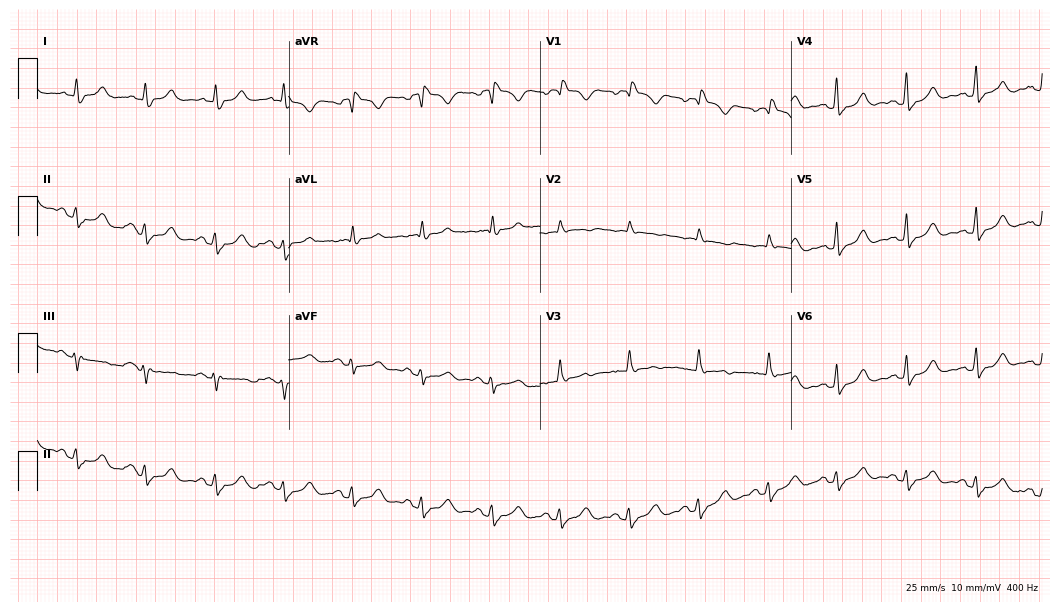
Standard 12-lead ECG recorded from a 69-year-old woman. None of these six findings is recorded: first-degree AV block, right bundle branch block, left bundle branch block, sinus bradycardia, atrial fibrillation, sinus tachycardia. Other findings, if any, are not listed.